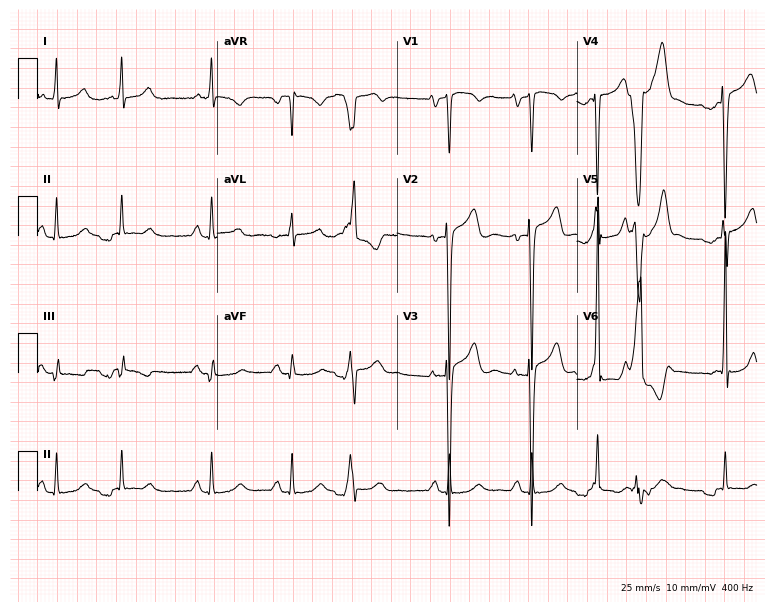
Resting 12-lead electrocardiogram. Patient: a male, 78 years old. None of these six findings is recorded: first-degree AV block, right bundle branch block, left bundle branch block, sinus bradycardia, atrial fibrillation, sinus tachycardia.